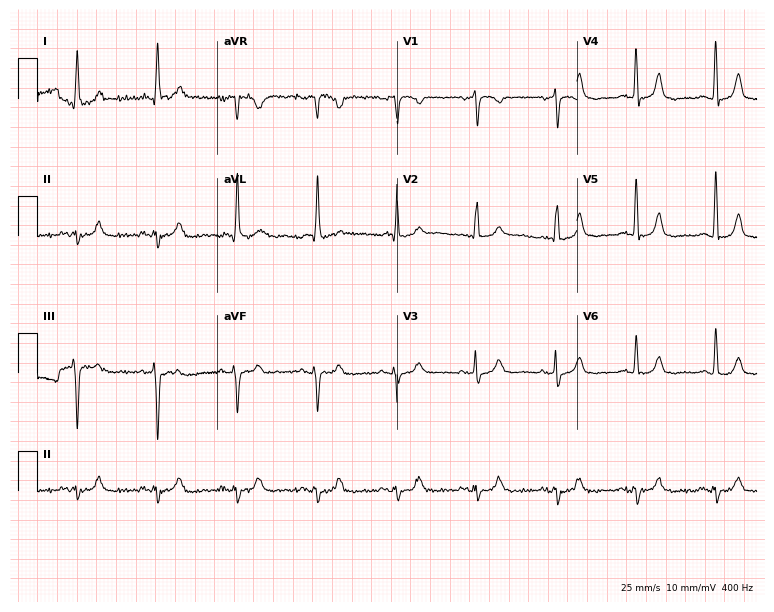
12-lead ECG from a female, 84 years old (7.3-second recording at 400 Hz). No first-degree AV block, right bundle branch block, left bundle branch block, sinus bradycardia, atrial fibrillation or sinus tachycardia recorded for this tracing.